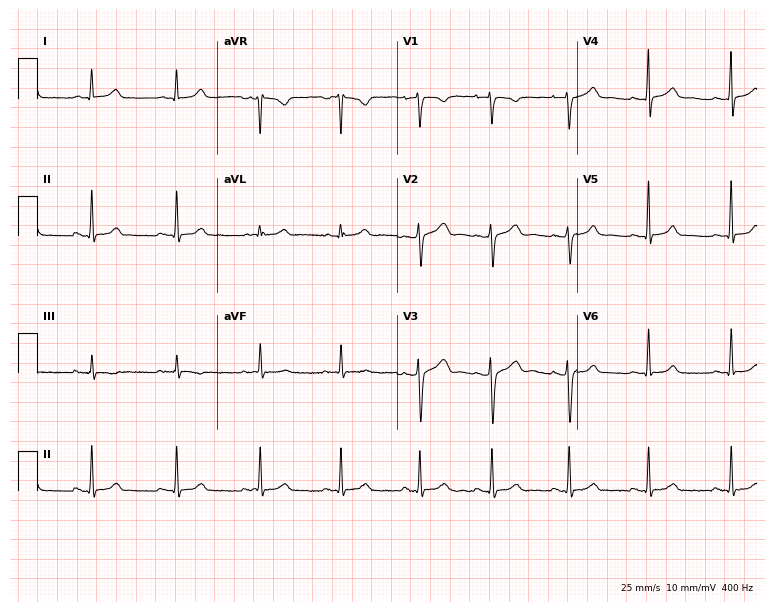
ECG (7.3-second recording at 400 Hz) — a 28-year-old female. Labelled as a normal ECG.